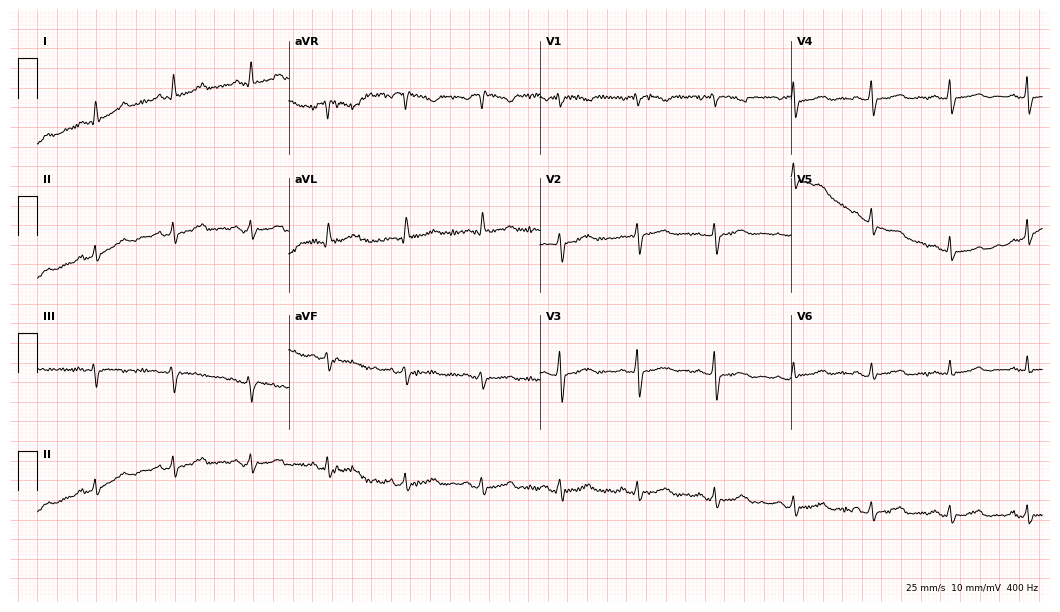
12-lead ECG from a woman, 52 years old. Labelled as a normal ECG.